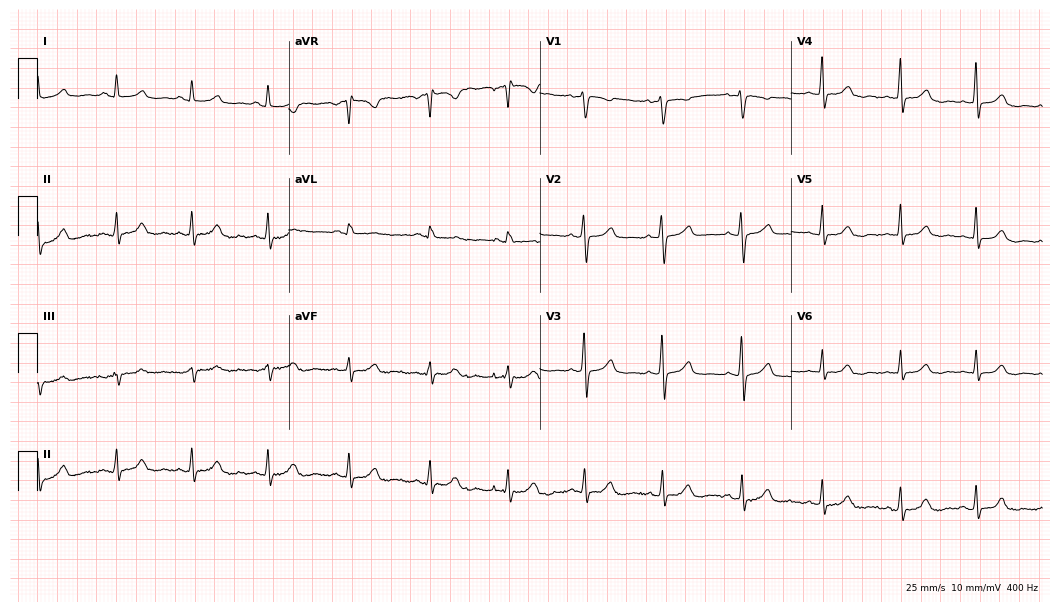
Electrocardiogram (10.2-second recording at 400 Hz), a 27-year-old female patient. Overall reading on record: normal ECG.